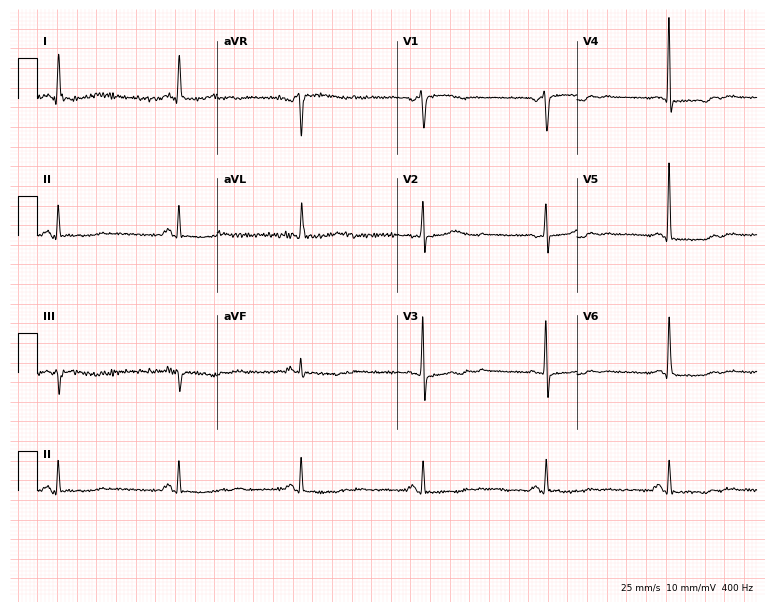
12-lead ECG from a woman, 76 years old. Findings include sinus bradycardia (a sinus rate of 50 beats per minute or less).